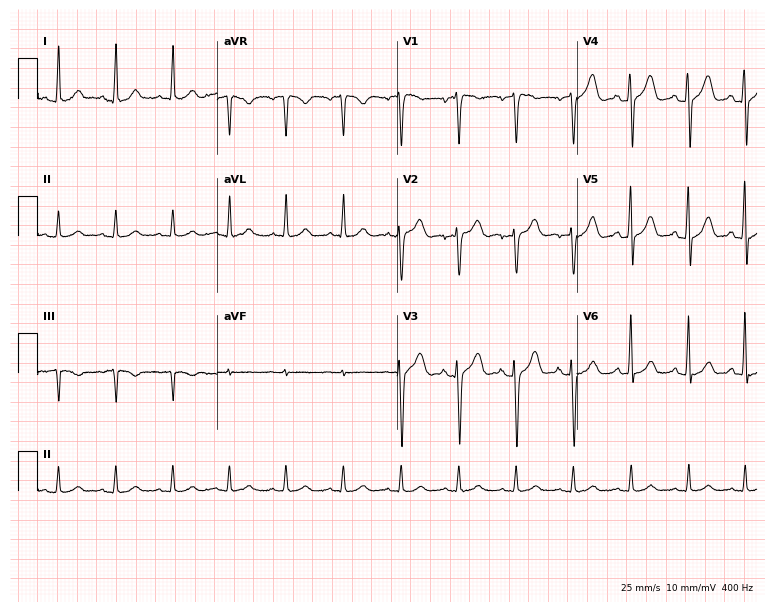
12-lead ECG (7.3-second recording at 400 Hz) from a male, 27 years old. Screened for six findings — first-degree AV block, right bundle branch block, left bundle branch block, sinus bradycardia, atrial fibrillation, sinus tachycardia — none is recorded.